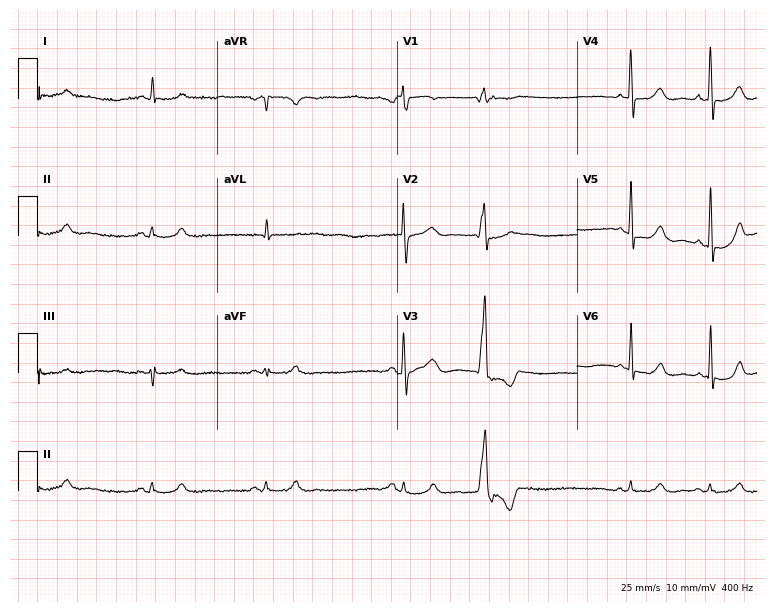
ECG (7.3-second recording at 400 Hz) — a man, 83 years old. Screened for six findings — first-degree AV block, right bundle branch block, left bundle branch block, sinus bradycardia, atrial fibrillation, sinus tachycardia — none is recorded. Findings outside these six are not listed.